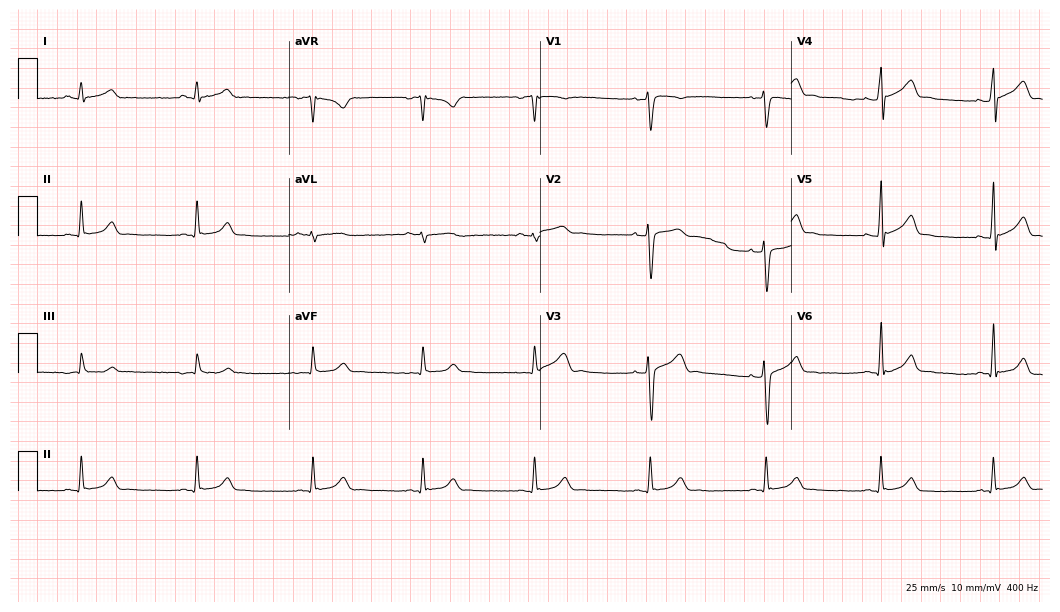
Electrocardiogram, a 30-year-old man. Of the six screened findings (first-degree AV block, right bundle branch block (RBBB), left bundle branch block (LBBB), sinus bradycardia, atrial fibrillation (AF), sinus tachycardia), none is recorded.